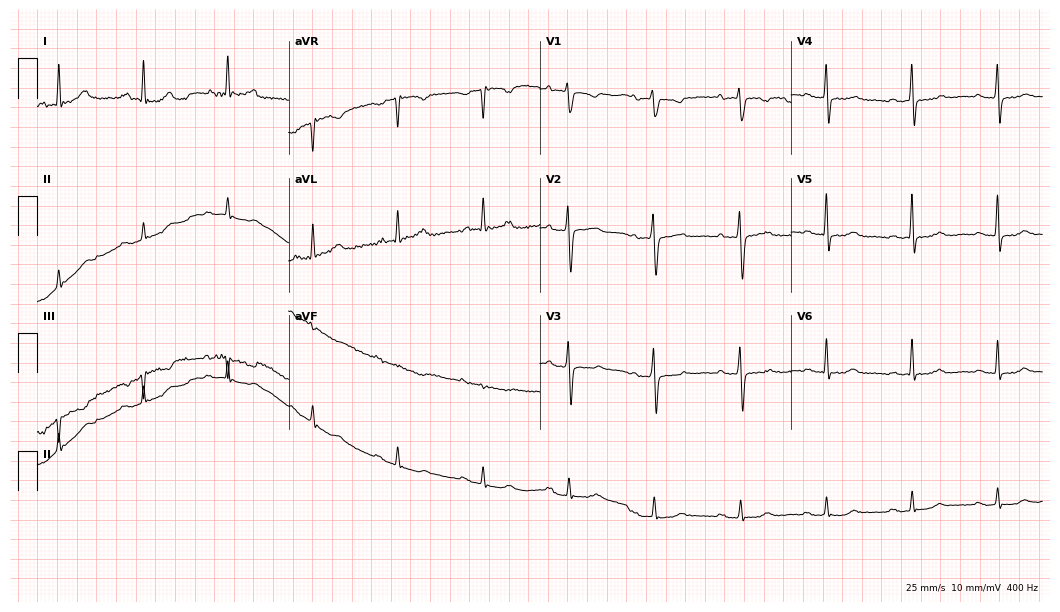
Standard 12-lead ECG recorded from a woman, 80 years old. Read as a normal ECG.